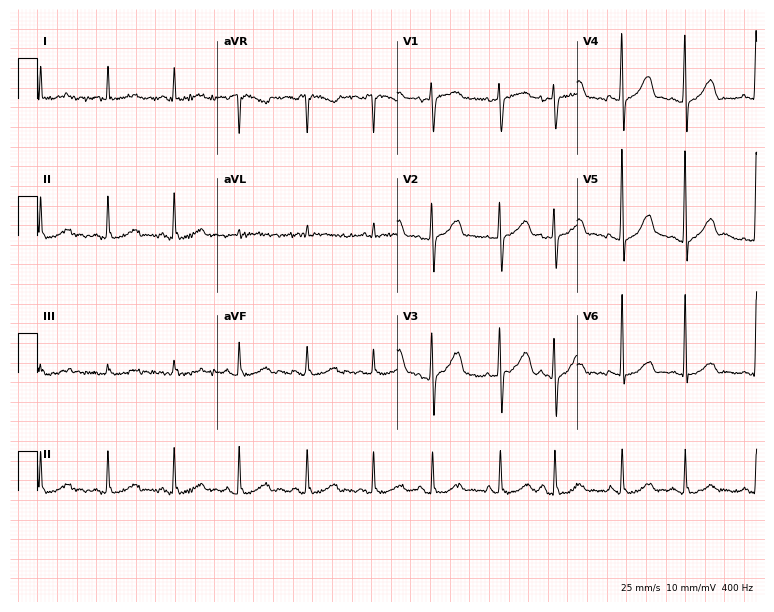
Resting 12-lead electrocardiogram. Patient: a 68-year-old female. None of these six findings is recorded: first-degree AV block, right bundle branch block, left bundle branch block, sinus bradycardia, atrial fibrillation, sinus tachycardia. Other findings, if any, are not listed.